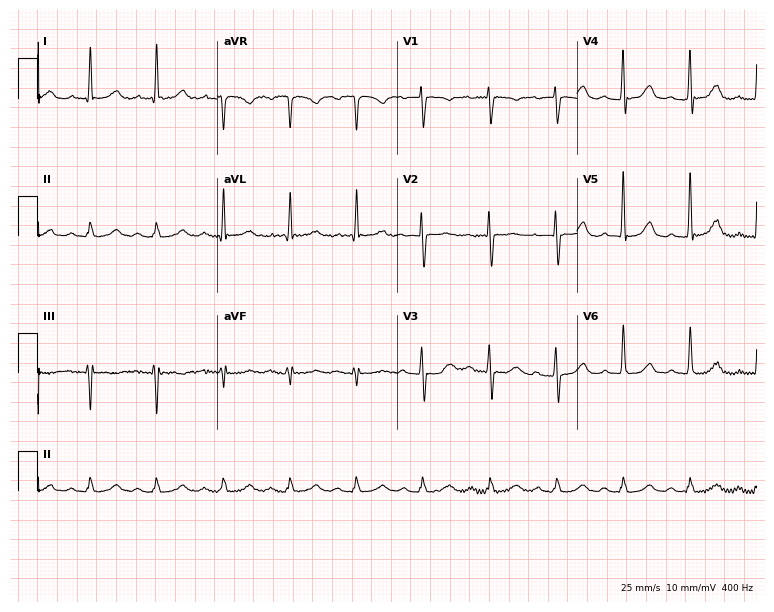
ECG (7.3-second recording at 400 Hz) — a female patient, 84 years old. Screened for six findings — first-degree AV block, right bundle branch block, left bundle branch block, sinus bradycardia, atrial fibrillation, sinus tachycardia — none is recorded. Other findings, if any, are not listed.